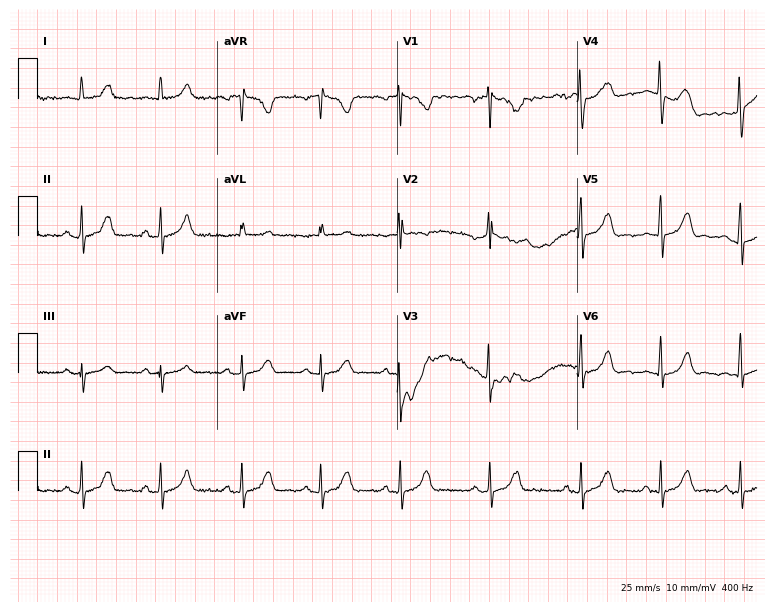
12-lead ECG from a female patient, 27 years old (7.3-second recording at 400 Hz). No first-degree AV block, right bundle branch block (RBBB), left bundle branch block (LBBB), sinus bradycardia, atrial fibrillation (AF) or sinus tachycardia recorded for this tracing. Findings outside these six are not listed.